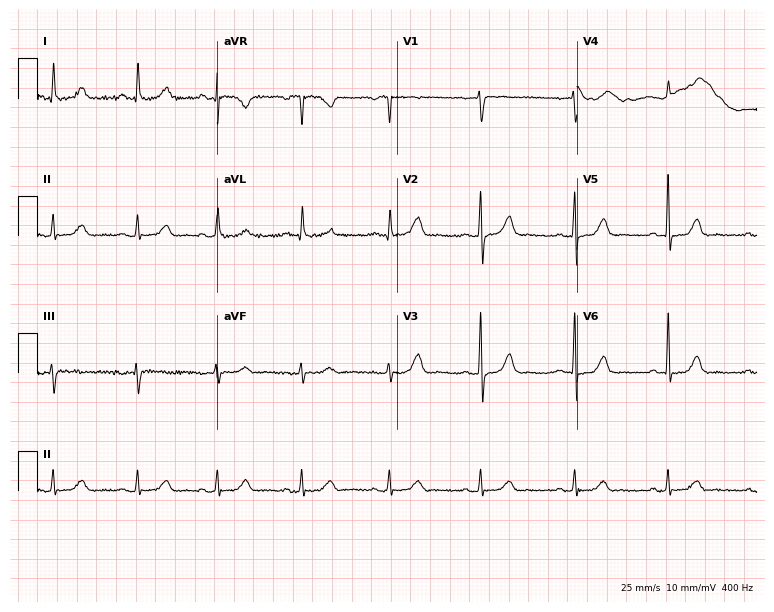
ECG — a 55-year-old female. Labelled as a normal ECG.